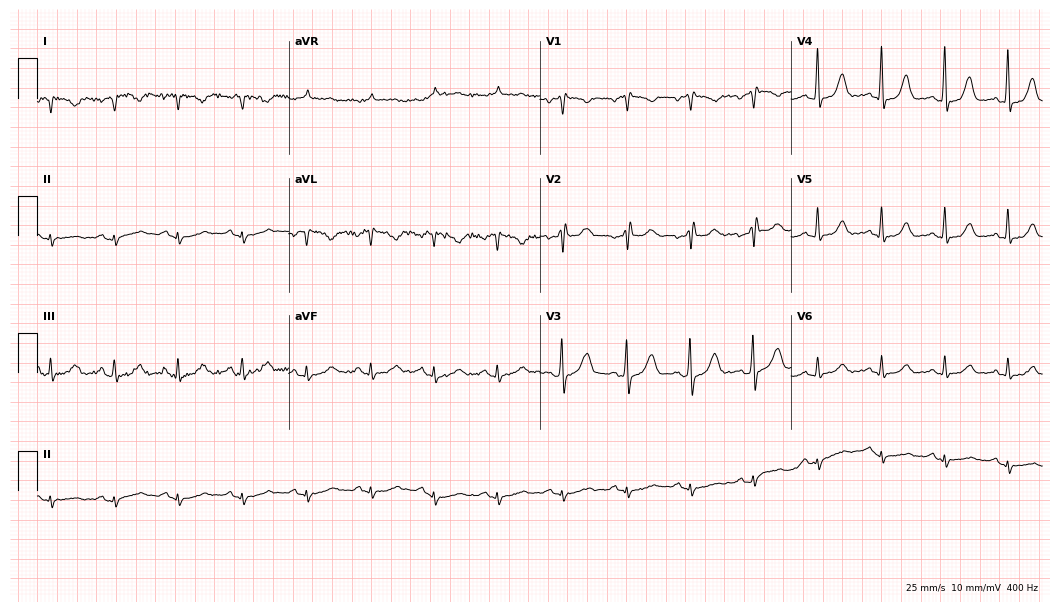
ECG — a female patient, 22 years old. Screened for six findings — first-degree AV block, right bundle branch block, left bundle branch block, sinus bradycardia, atrial fibrillation, sinus tachycardia — none is recorded. Other findings, if any, are not listed.